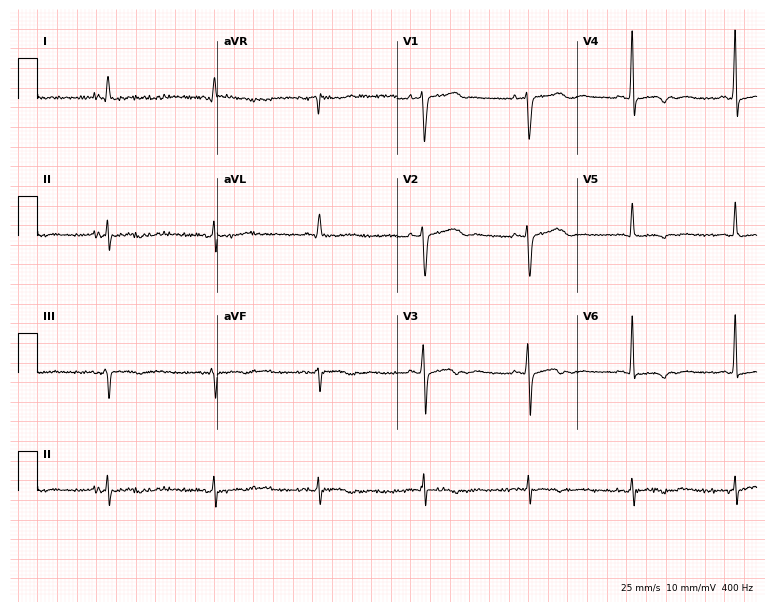
12-lead ECG from a male, 84 years old (7.3-second recording at 400 Hz). No first-degree AV block, right bundle branch block, left bundle branch block, sinus bradycardia, atrial fibrillation or sinus tachycardia recorded for this tracing.